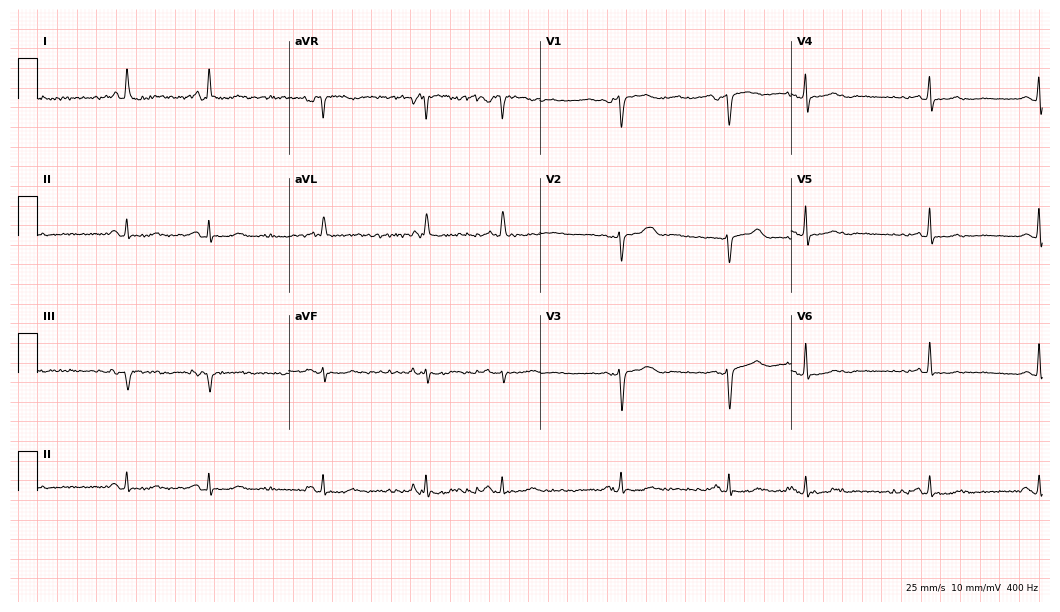
12-lead ECG from an 81-year-old female. No first-degree AV block, right bundle branch block, left bundle branch block, sinus bradycardia, atrial fibrillation or sinus tachycardia recorded for this tracing. Only these six findings were labelled.